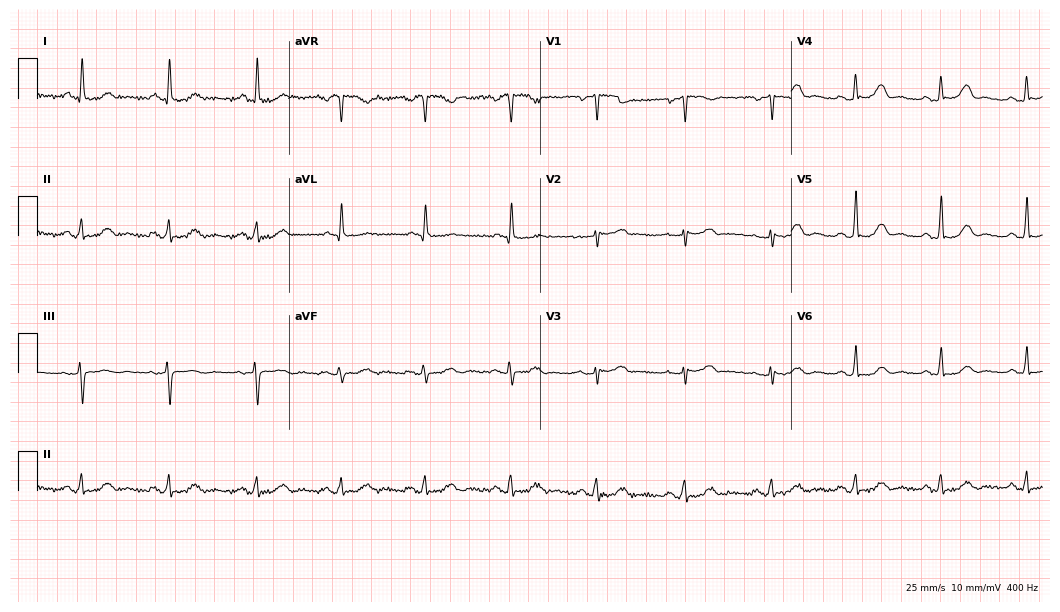
ECG — a 55-year-old female patient. Labelled as a normal ECG.